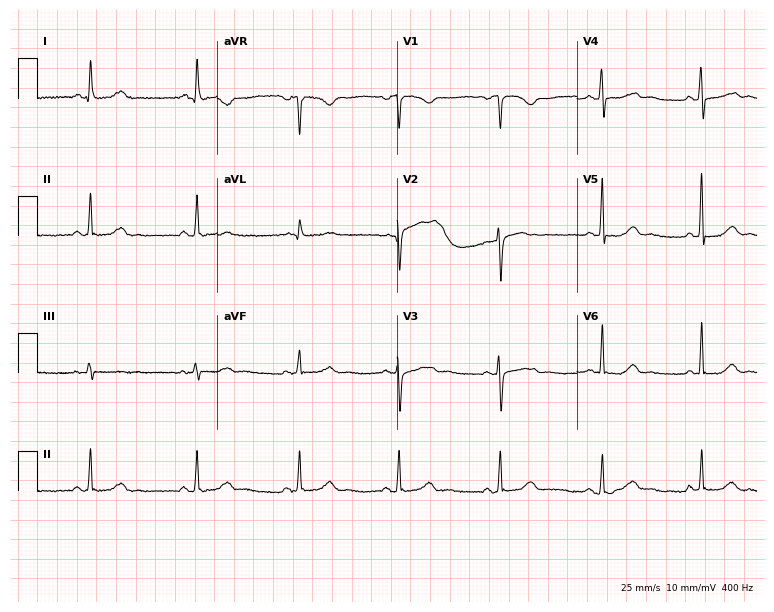
Resting 12-lead electrocardiogram (7.3-second recording at 400 Hz). Patient: a female, 55 years old. Read as a normal ECG.